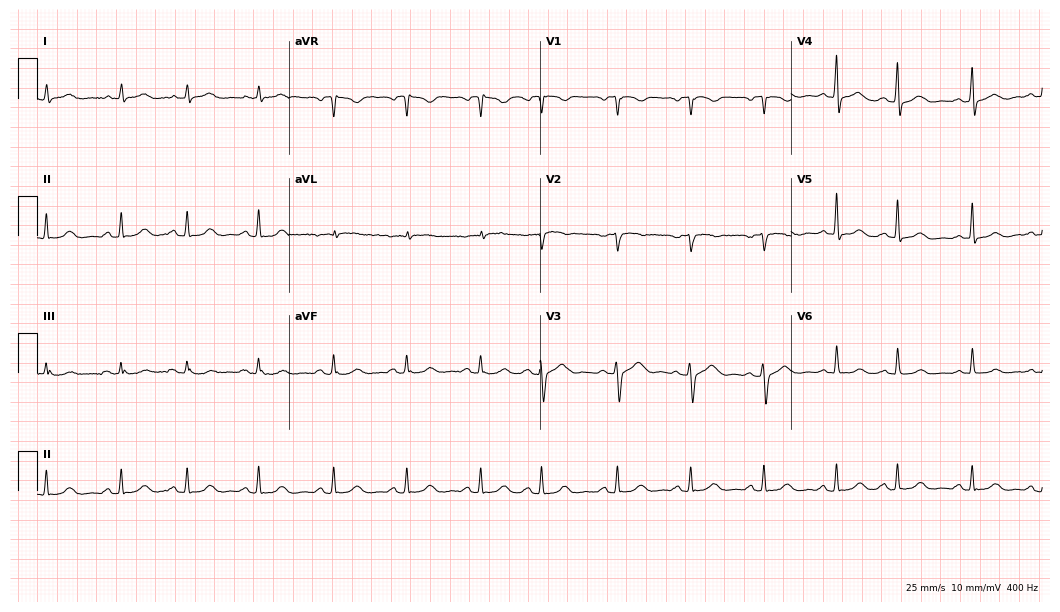
Electrocardiogram (10.2-second recording at 400 Hz), a 61-year-old female patient. Overall reading on record: normal ECG.